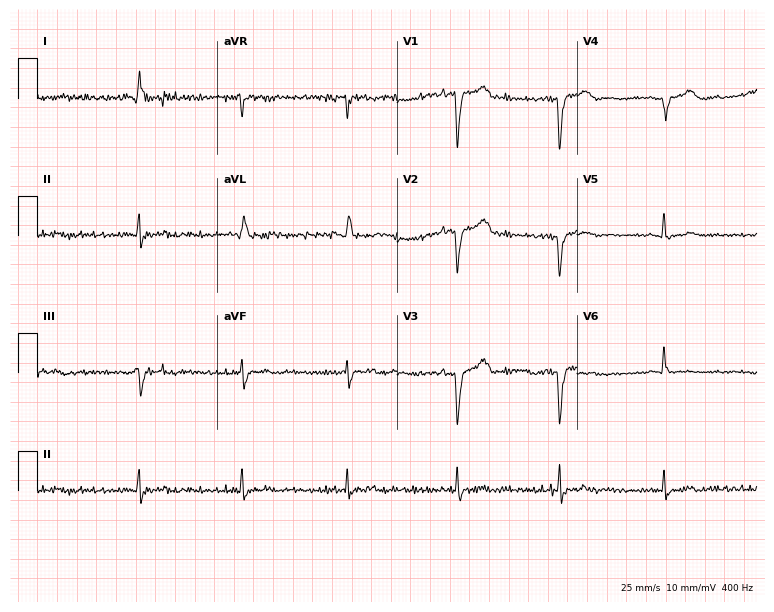
ECG (7.3-second recording at 400 Hz) — a male patient, 57 years old. Screened for six findings — first-degree AV block, right bundle branch block (RBBB), left bundle branch block (LBBB), sinus bradycardia, atrial fibrillation (AF), sinus tachycardia — none is recorded. Only these six findings were labelled.